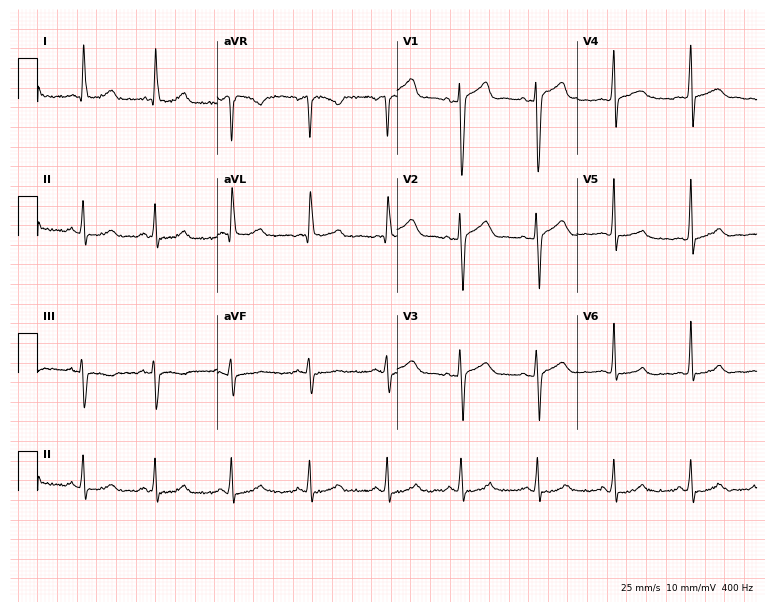
12-lead ECG from a 32-year-old man. Labelled as a normal ECG.